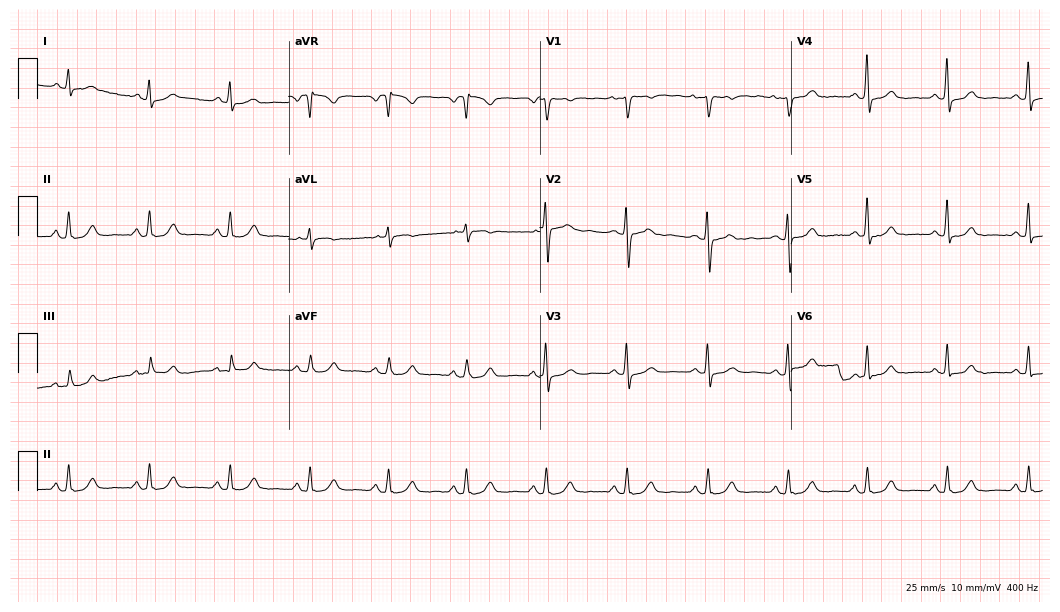
Resting 12-lead electrocardiogram. Patient: a male, 44 years old. None of these six findings is recorded: first-degree AV block, right bundle branch block (RBBB), left bundle branch block (LBBB), sinus bradycardia, atrial fibrillation (AF), sinus tachycardia.